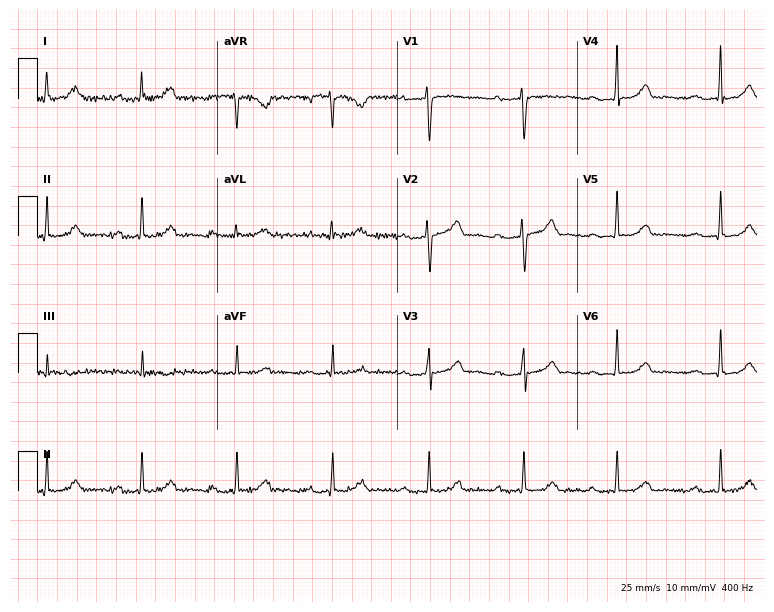
Standard 12-lead ECG recorded from a female, 38 years old. The tracing shows first-degree AV block.